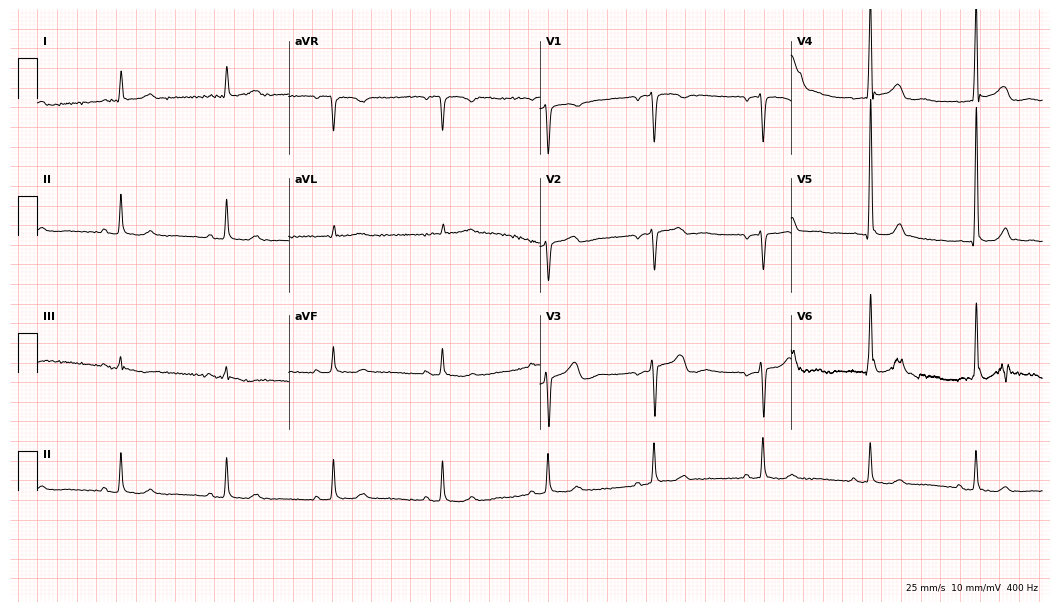
ECG — a male, 61 years old. Labelled as a normal ECG.